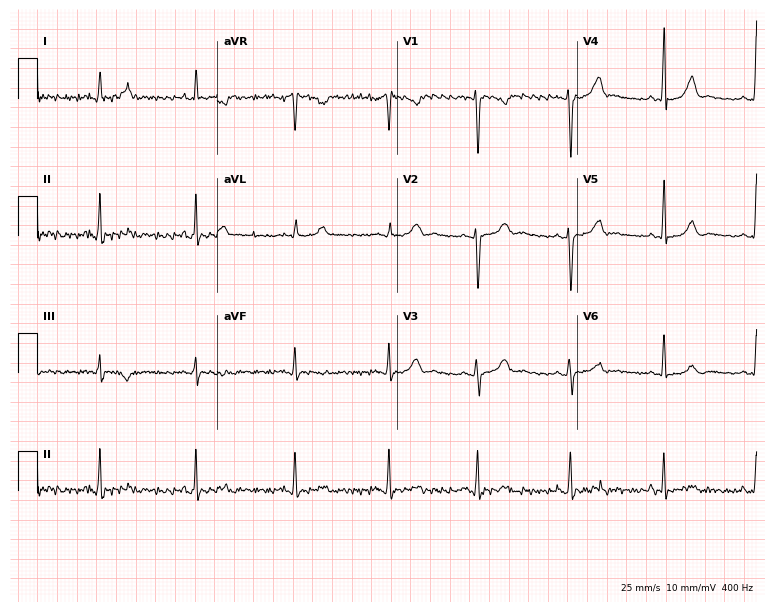
ECG (7.3-second recording at 400 Hz) — a 19-year-old female. Screened for six findings — first-degree AV block, right bundle branch block (RBBB), left bundle branch block (LBBB), sinus bradycardia, atrial fibrillation (AF), sinus tachycardia — none is recorded. Other findings, if any, are not listed.